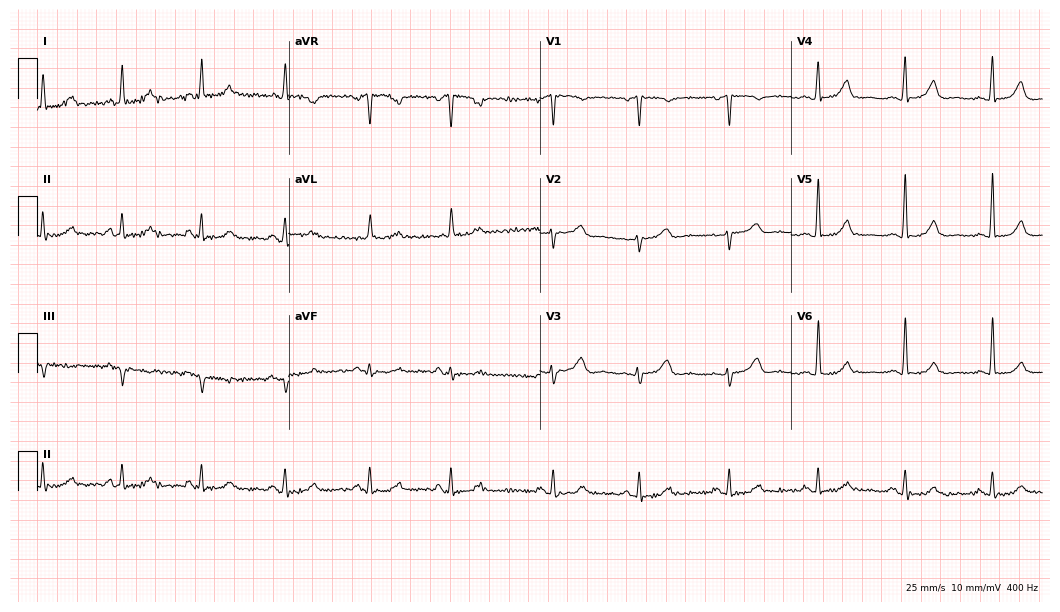
Electrocardiogram (10.2-second recording at 400 Hz), a 74-year-old female patient. Overall reading on record: normal ECG.